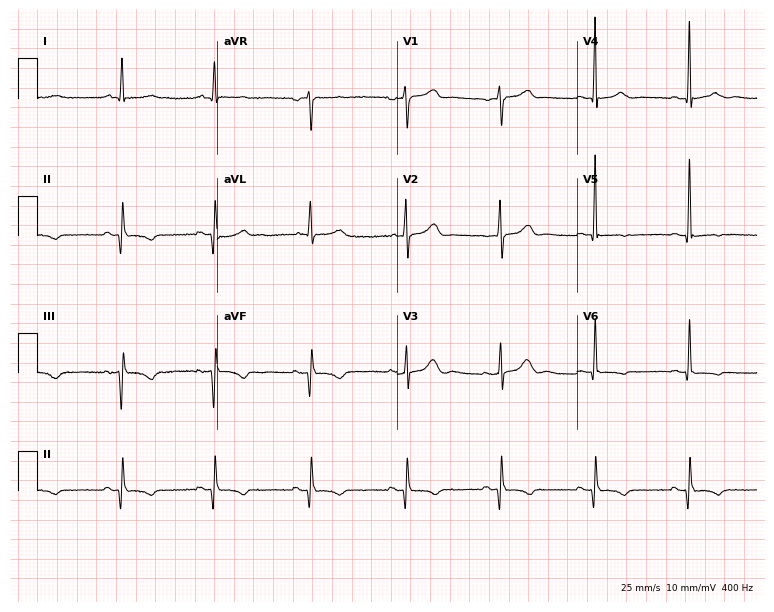
ECG (7.3-second recording at 400 Hz) — a female patient, 73 years old. Screened for six findings — first-degree AV block, right bundle branch block (RBBB), left bundle branch block (LBBB), sinus bradycardia, atrial fibrillation (AF), sinus tachycardia — none is recorded. Other findings, if any, are not listed.